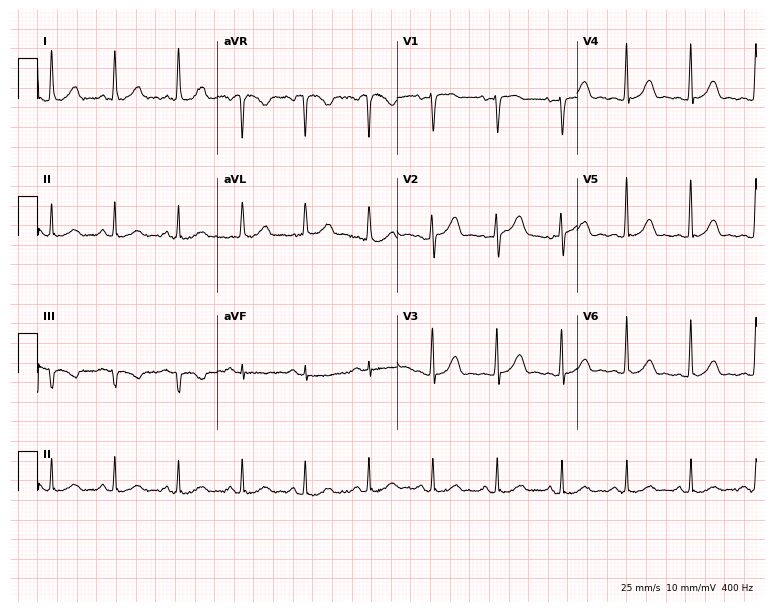
Resting 12-lead electrocardiogram. Patient: a woman, 52 years old. None of these six findings is recorded: first-degree AV block, right bundle branch block, left bundle branch block, sinus bradycardia, atrial fibrillation, sinus tachycardia.